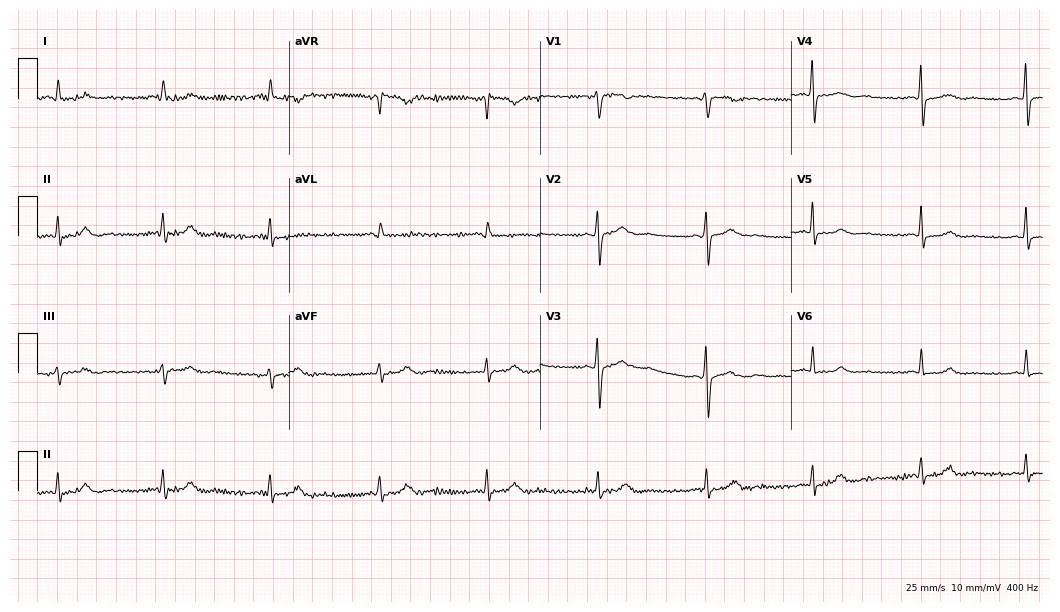
12-lead ECG (10.2-second recording at 400 Hz) from a female, 41 years old. Screened for six findings — first-degree AV block, right bundle branch block, left bundle branch block, sinus bradycardia, atrial fibrillation, sinus tachycardia — none is recorded. Other findings, if any, are not listed.